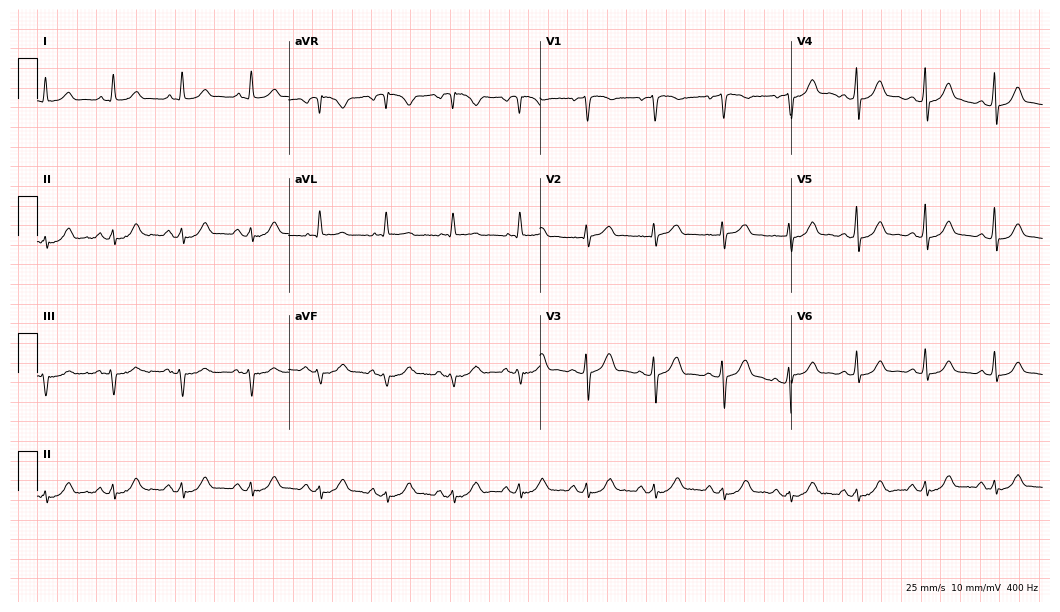
Standard 12-lead ECG recorded from a 63-year-old male patient (10.2-second recording at 400 Hz). Read as a normal ECG.